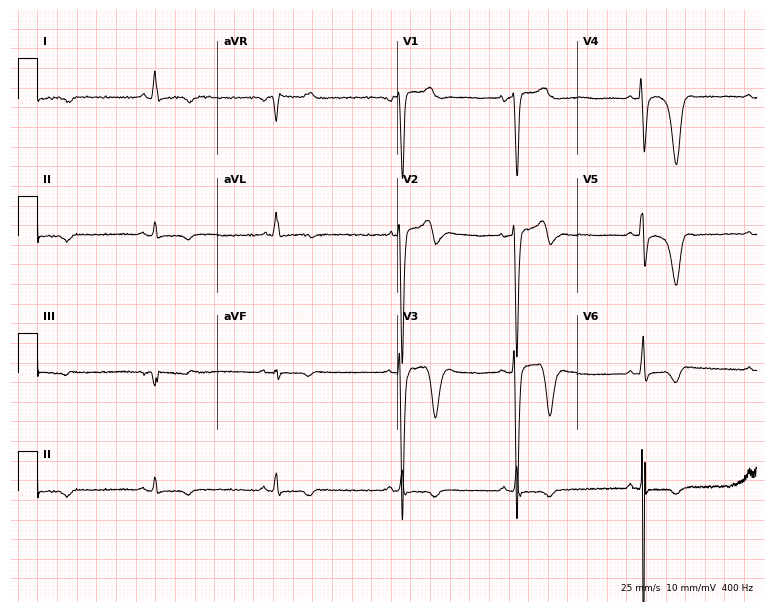
Resting 12-lead electrocardiogram. Patient: a 55-year-old female. None of these six findings is recorded: first-degree AV block, right bundle branch block (RBBB), left bundle branch block (LBBB), sinus bradycardia, atrial fibrillation (AF), sinus tachycardia. Findings outside these six are not listed.